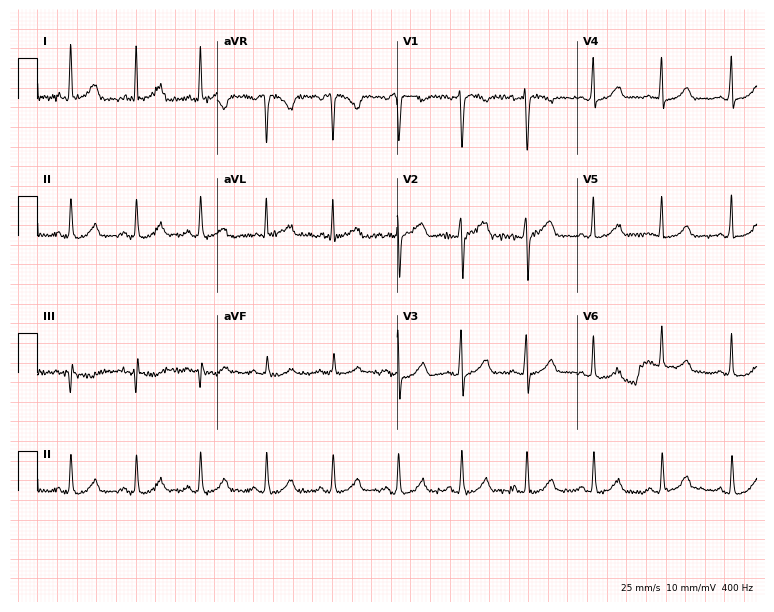
Electrocardiogram, a 35-year-old woman. Overall reading on record: normal ECG.